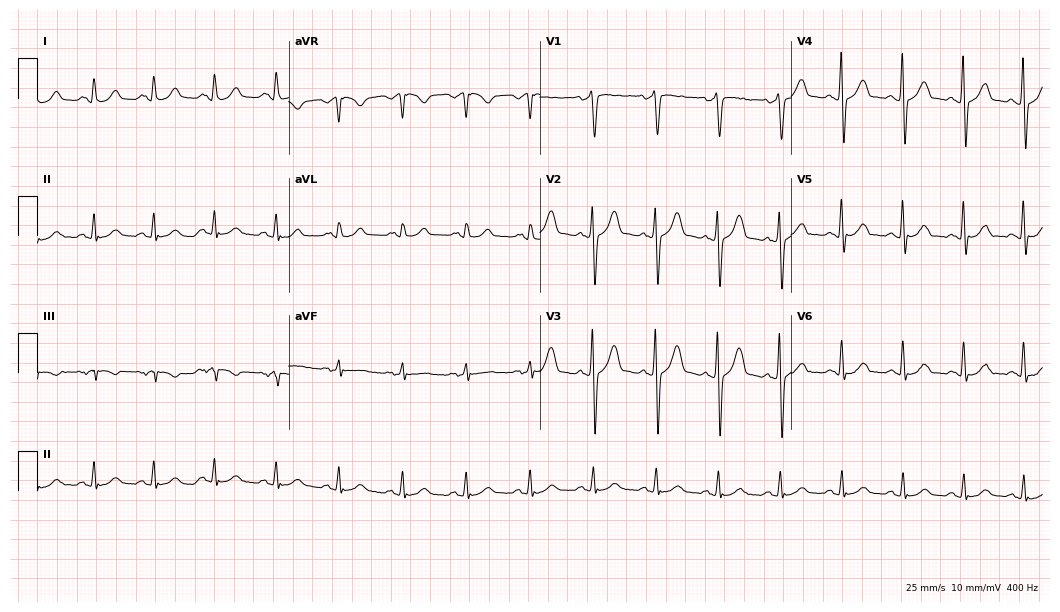
Electrocardiogram (10.2-second recording at 400 Hz), a male patient, 37 years old. Overall reading on record: normal ECG.